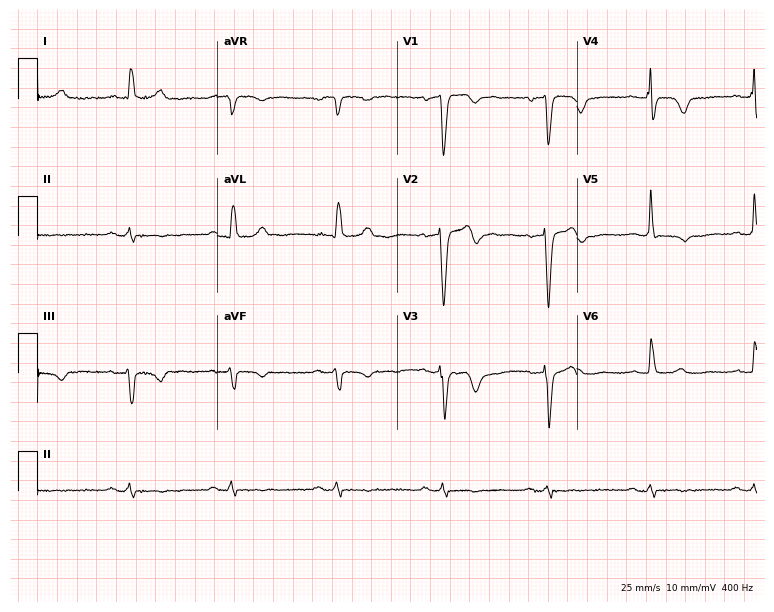
Electrocardiogram (7.3-second recording at 400 Hz), a male, 83 years old. Of the six screened findings (first-degree AV block, right bundle branch block, left bundle branch block, sinus bradycardia, atrial fibrillation, sinus tachycardia), none is recorded. Only these six findings were labelled.